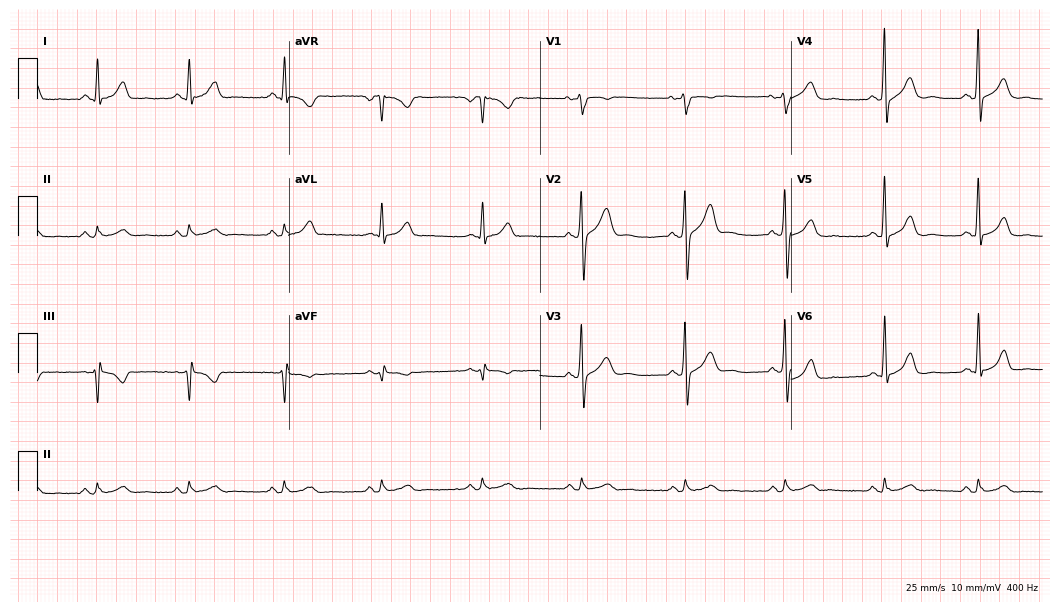
Standard 12-lead ECG recorded from a 54-year-old male patient. Read as a normal ECG.